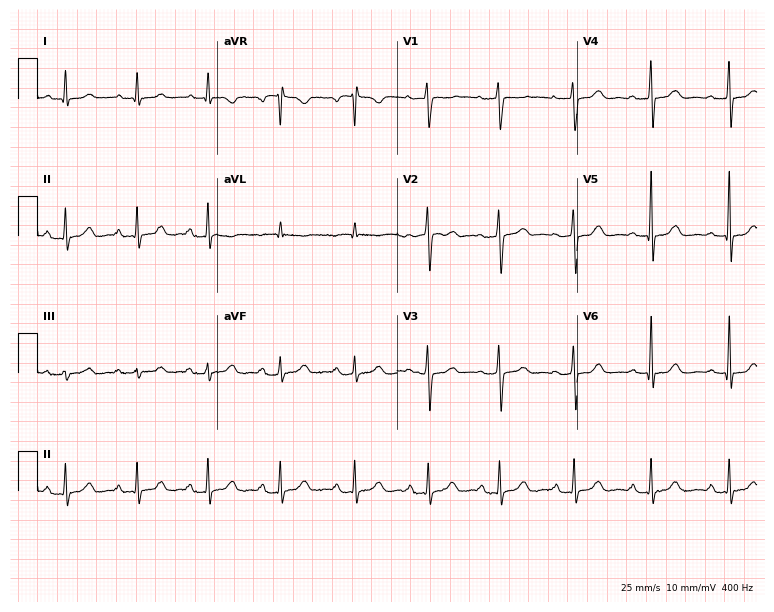
Standard 12-lead ECG recorded from a 41-year-old woman (7.3-second recording at 400 Hz). The tracing shows first-degree AV block.